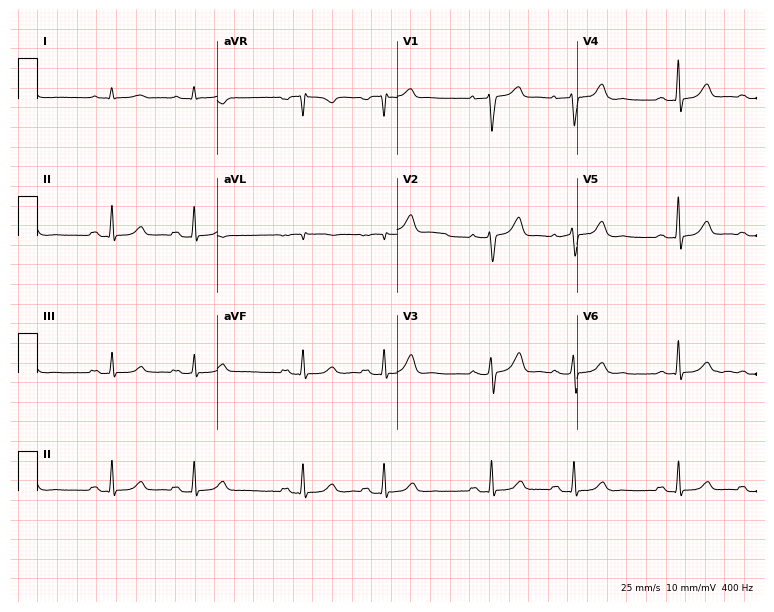
ECG — a 72-year-old male. Screened for six findings — first-degree AV block, right bundle branch block (RBBB), left bundle branch block (LBBB), sinus bradycardia, atrial fibrillation (AF), sinus tachycardia — none is recorded.